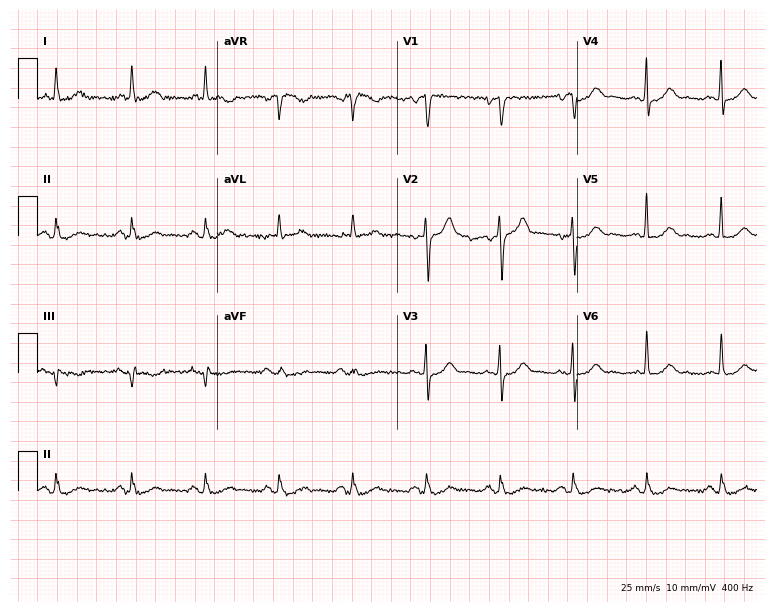
12-lead ECG from a man, 63 years old. Screened for six findings — first-degree AV block, right bundle branch block, left bundle branch block, sinus bradycardia, atrial fibrillation, sinus tachycardia — none is recorded.